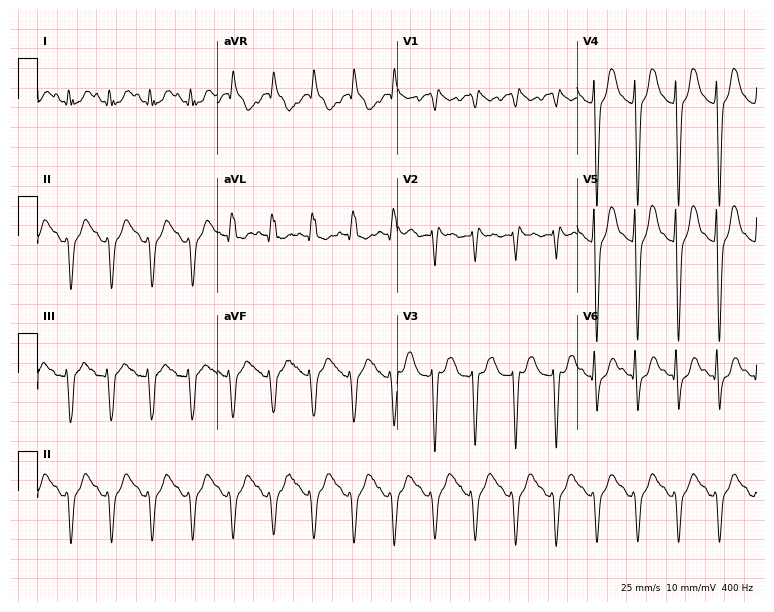
12-lead ECG from a male, 63 years old. Findings include sinus tachycardia (a sinus rate of 100 beats per minute or more).